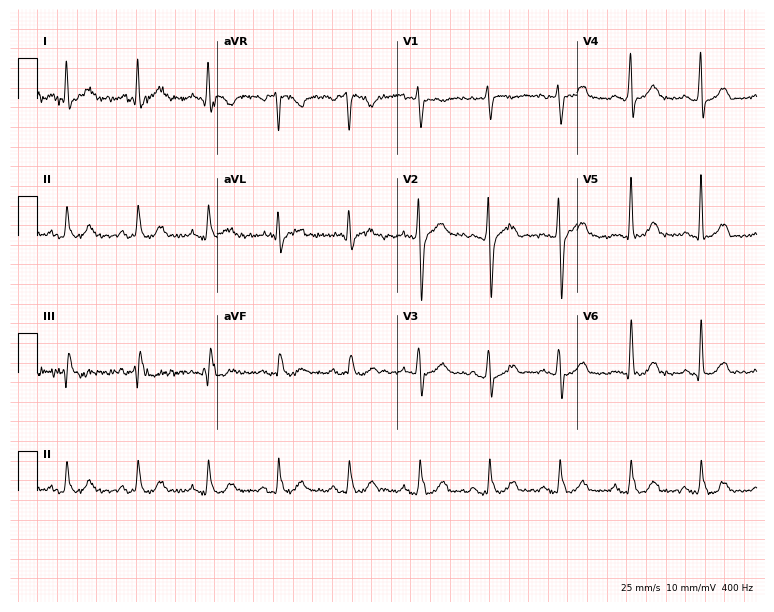
Resting 12-lead electrocardiogram (7.3-second recording at 400 Hz). Patient: a male, 42 years old. None of these six findings is recorded: first-degree AV block, right bundle branch block (RBBB), left bundle branch block (LBBB), sinus bradycardia, atrial fibrillation (AF), sinus tachycardia.